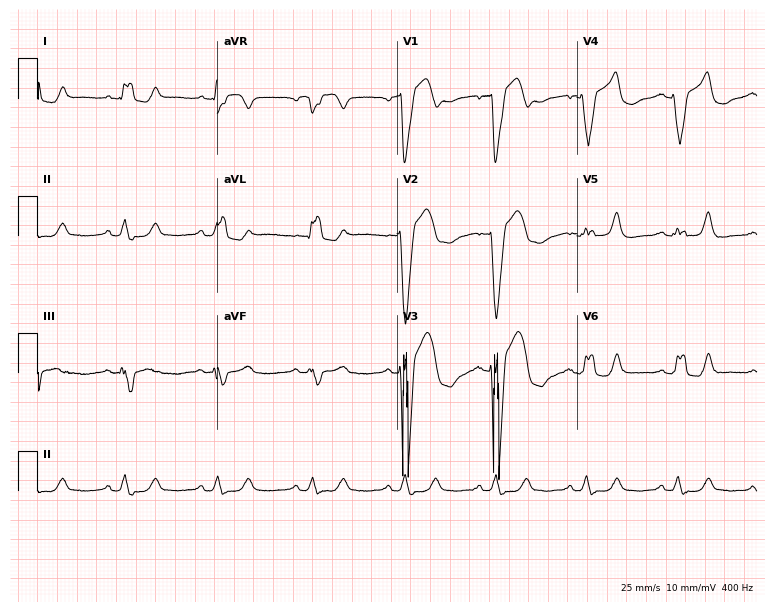
12-lead ECG (7.3-second recording at 400 Hz) from a 60-year-old man. Findings include left bundle branch block.